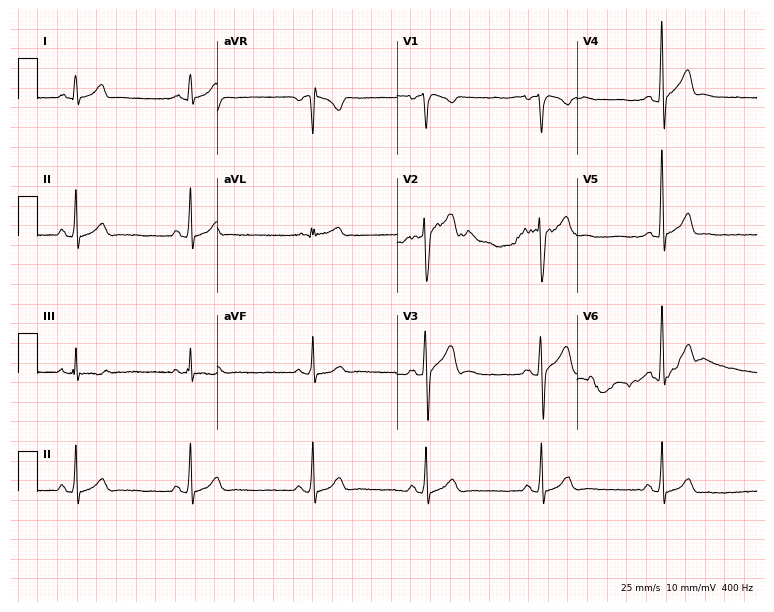
12-lead ECG from a male, 28 years old. Labelled as a normal ECG.